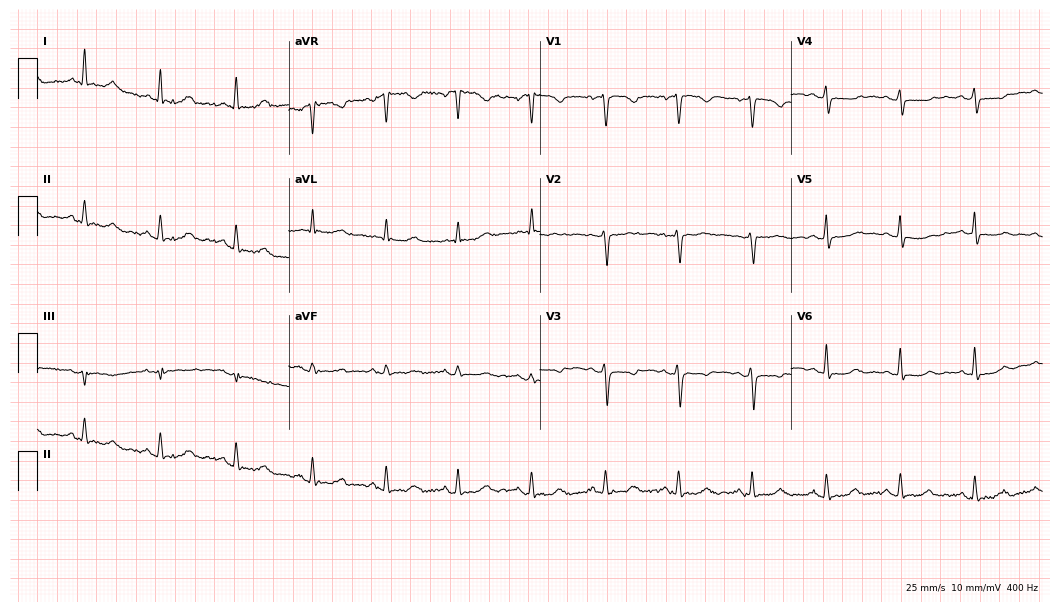
12-lead ECG (10.2-second recording at 400 Hz) from a 55-year-old woman. Screened for six findings — first-degree AV block, right bundle branch block, left bundle branch block, sinus bradycardia, atrial fibrillation, sinus tachycardia — none is recorded.